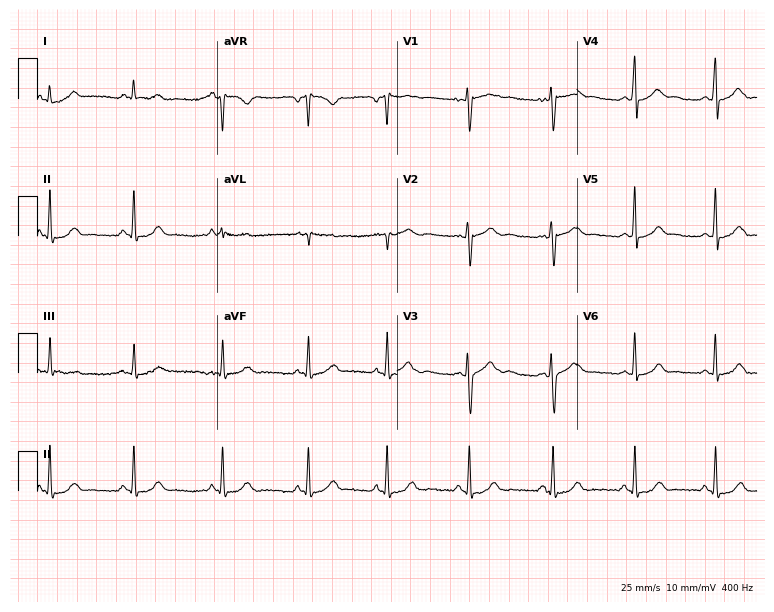
ECG — a female, 17 years old. Labelled as a normal ECG.